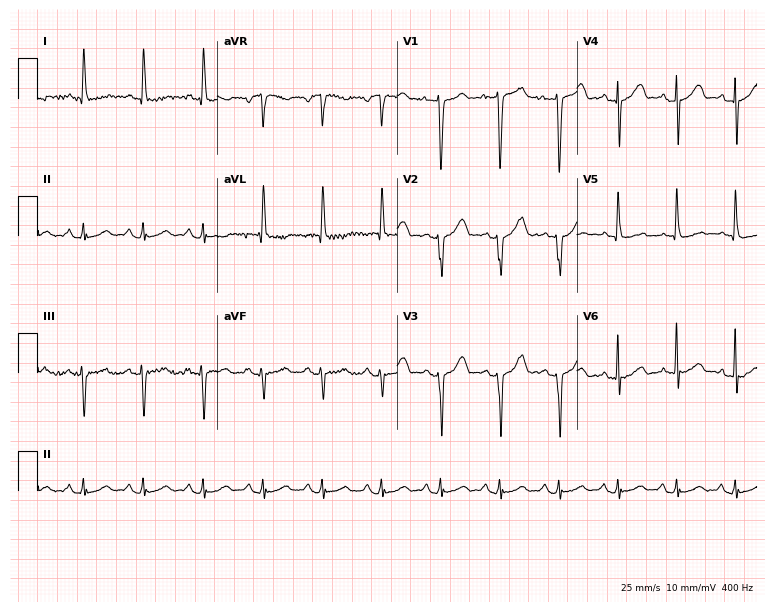
ECG (7.3-second recording at 400 Hz) — a woman, 69 years old. Screened for six findings — first-degree AV block, right bundle branch block, left bundle branch block, sinus bradycardia, atrial fibrillation, sinus tachycardia — none is recorded. Only these six findings were labelled.